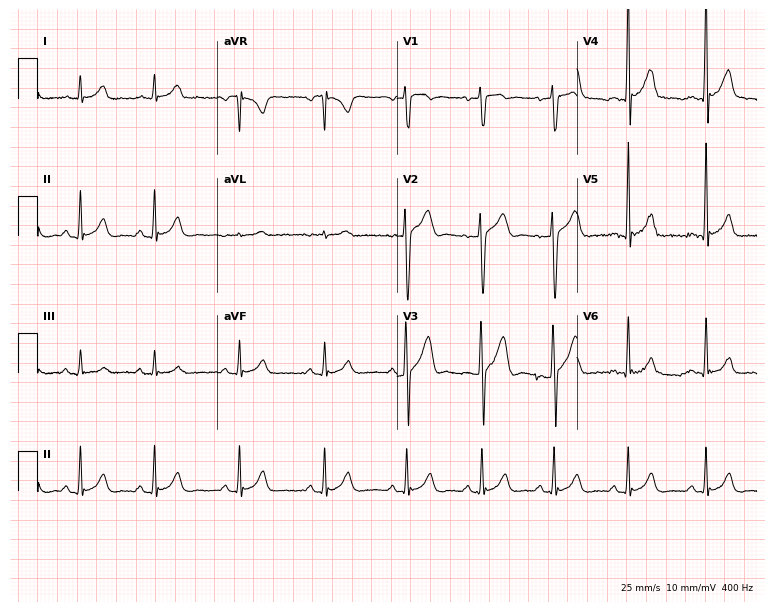
12-lead ECG (7.3-second recording at 400 Hz) from a male, 19 years old. Screened for six findings — first-degree AV block, right bundle branch block (RBBB), left bundle branch block (LBBB), sinus bradycardia, atrial fibrillation (AF), sinus tachycardia — none is recorded. Only these six findings were labelled.